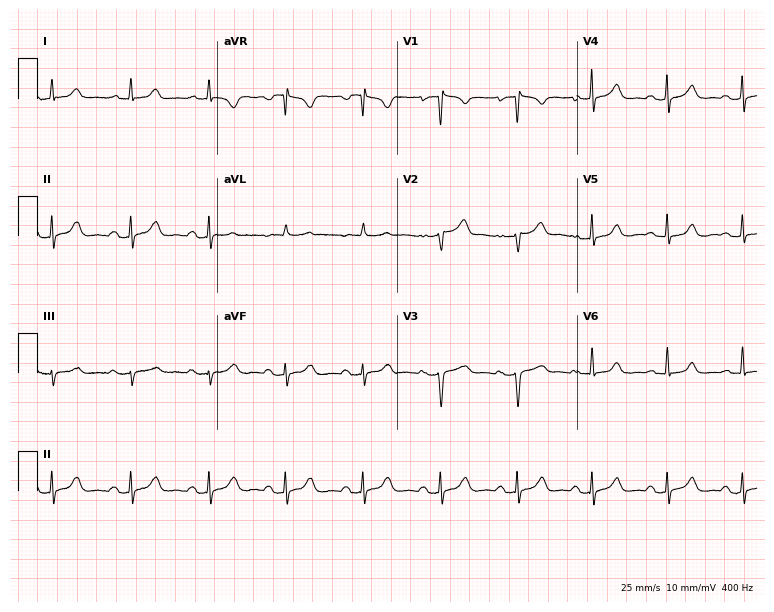
ECG — a woman, 48 years old. Screened for six findings — first-degree AV block, right bundle branch block, left bundle branch block, sinus bradycardia, atrial fibrillation, sinus tachycardia — none is recorded.